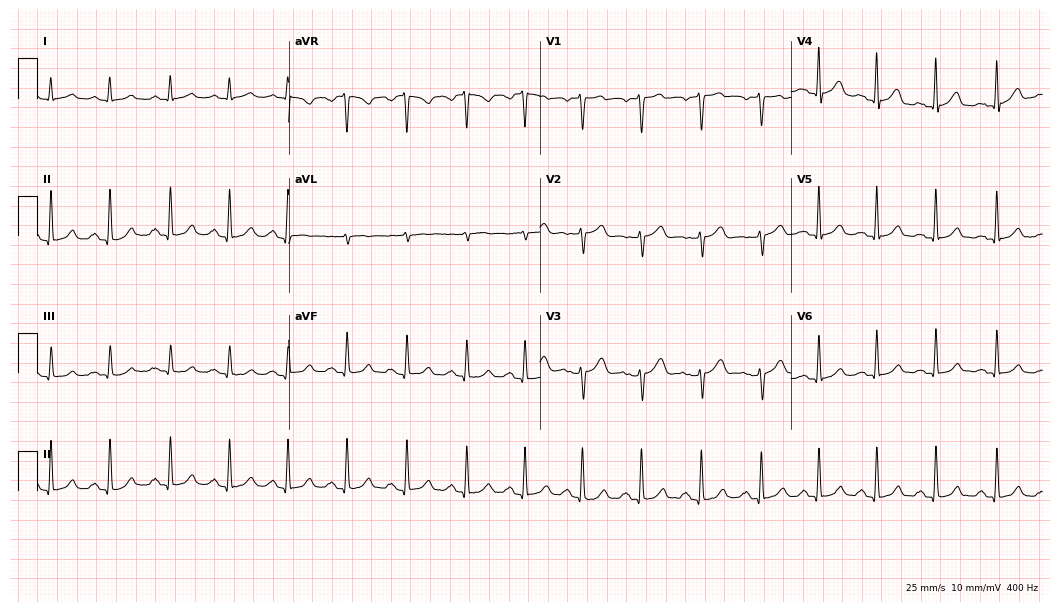
Resting 12-lead electrocardiogram. Patient: a female, 52 years old. None of these six findings is recorded: first-degree AV block, right bundle branch block, left bundle branch block, sinus bradycardia, atrial fibrillation, sinus tachycardia.